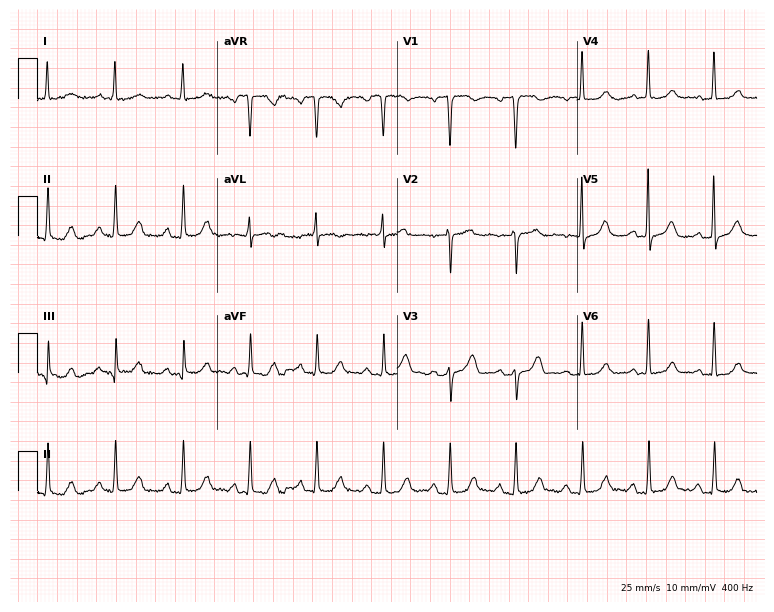
12-lead ECG from a 56-year-old male patient. Screened for six findings — first-degree AV block, right bundle branch block (RBBB), left bundle branch block (LBBB), sinus bradycardia, atrial fibrillation (AF), sinus tachycardia — none is recorded.